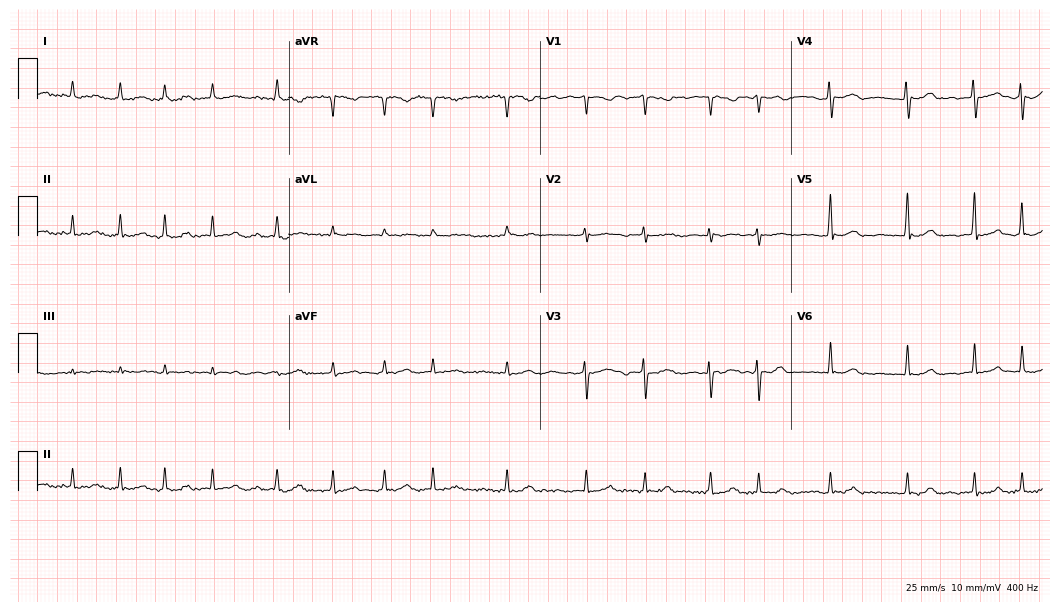
Resting 12-lead electrocardiogram (10.2-second recording at 400 Hz). Patient: a female, 64 years old. The tracing shows atrial fibrillation.